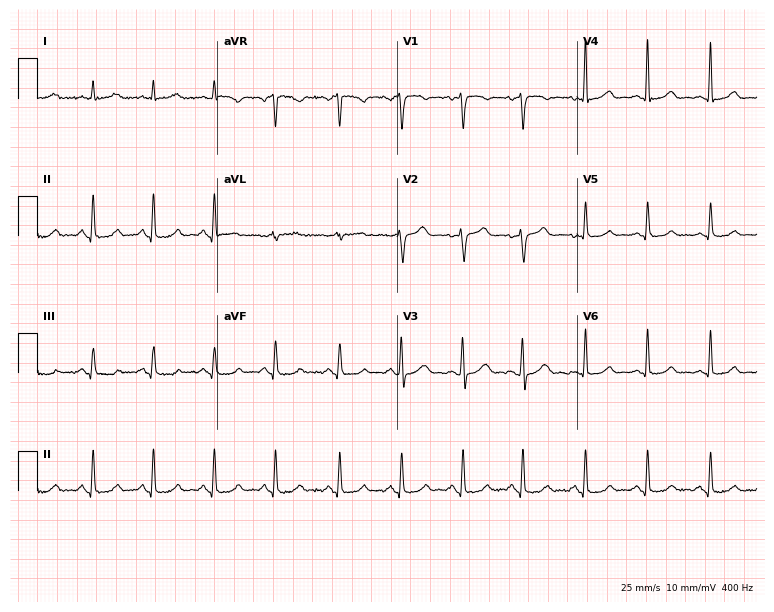
Standard 12-lead ECG recorded from a woman, 47 years old. Read as a normal ECG.